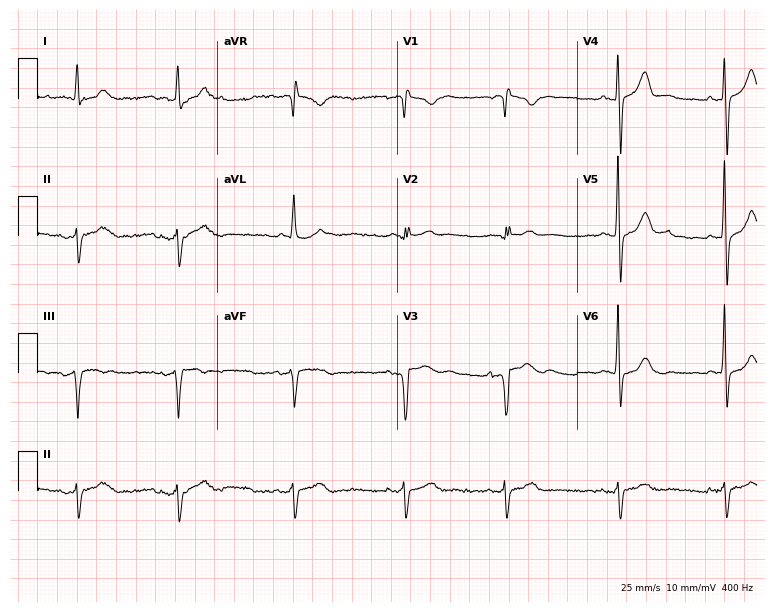
12-lead ECG from a man, 72 years old (7.3-second recording at 400 Hz). No first-degree AV block, right bundle branch block, left bundle branch block, sinus bradycardia, atrial fibrillation or sinus tachycardia recorded for this tracing.